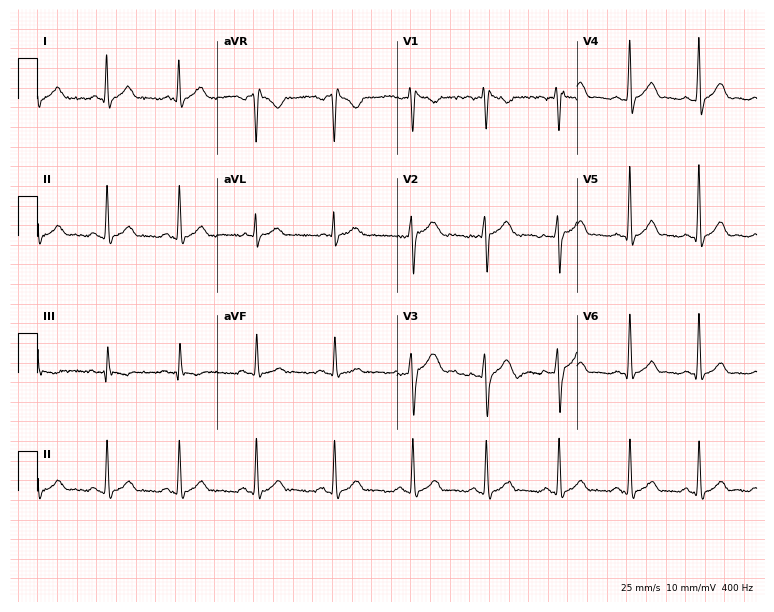
Standard 12-lead ECG recorded from a 37-year-old male (7.3-second recording at 400 Hz). Read as a normal ECG.